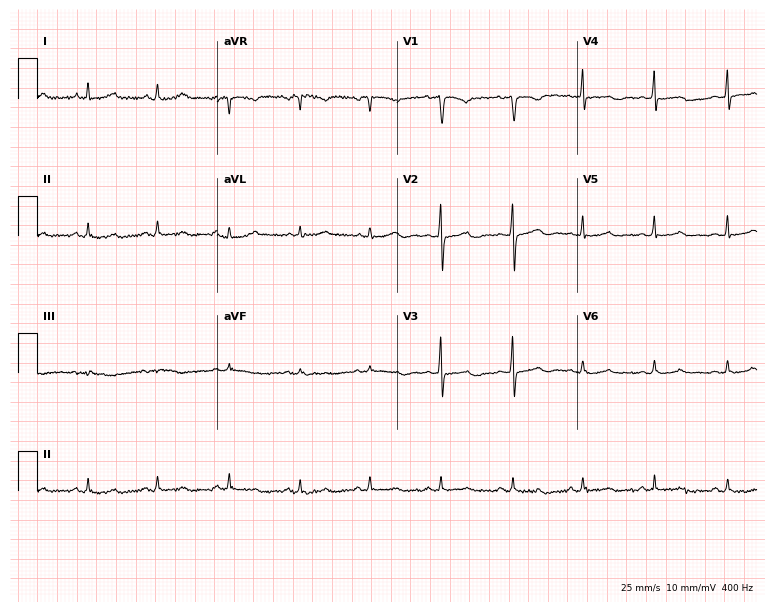
Standard 12-lead ECG recorded from a 55-year-old woman (7.3-second recording at 400 Hz). None of these six findings is recorded: first-degree AV block, right bundle branch block (RBBB), left bundle branch block (LBBB), sinus bradycardia, atrial fibrillation (AF), sinus tachycardia.